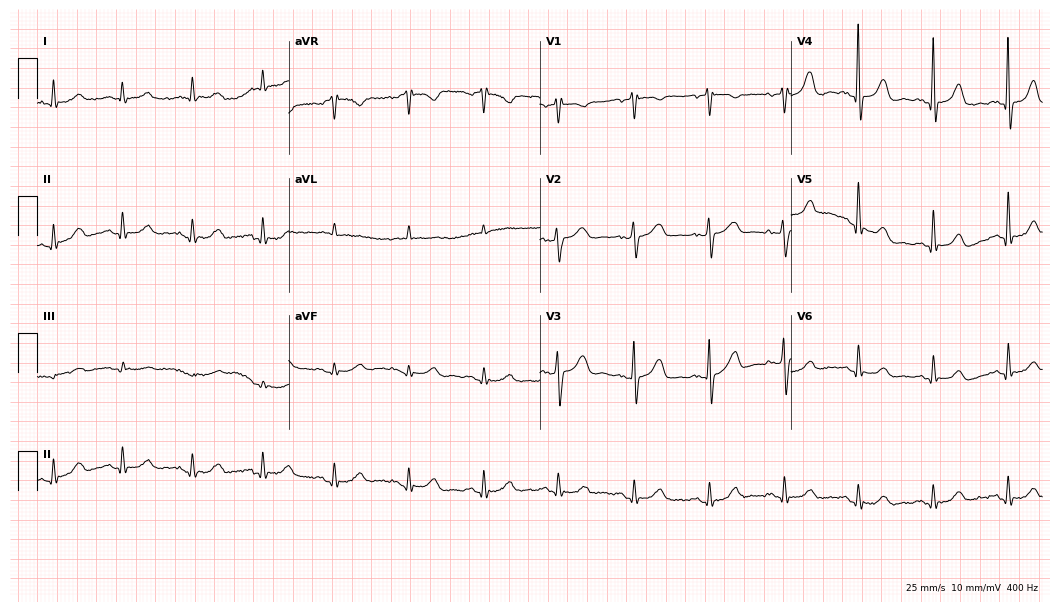
Standard 12-lead ECG recorded from a 70-year-old male patient (10.2-second recording at 400 Hz). Read as a normal ECG.